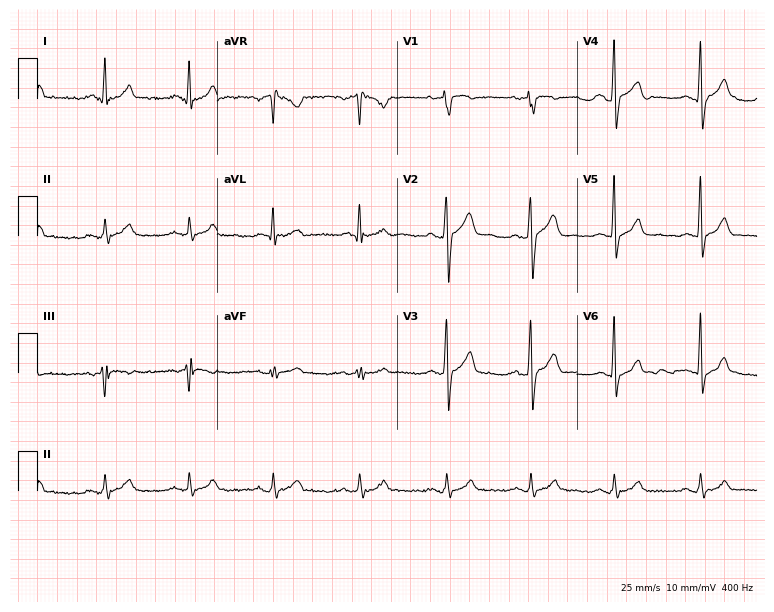
Standard 12-lead ECG recorded from a man, 38 years old. None of these six findings is recorded: first-degree AV block, right bundle branch block, left bundle branch block, sinus bradycardia, atrial fibrillation, sinus tachycardia.